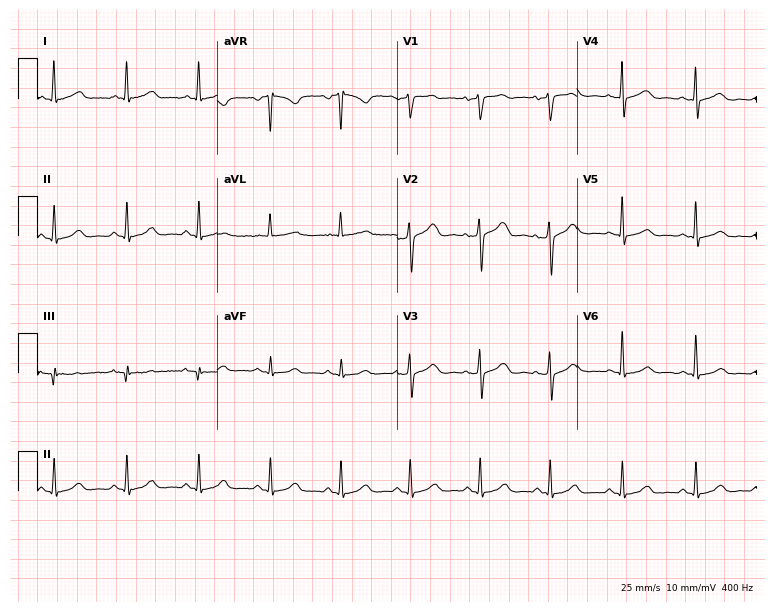
Standard 12-lead ECG recorded from a 52-year-old female patient. None of these six findings is recorded: first-degree AV block, right bundle branch block (RBBB), left bundle branch block (LBBB), sinus bradycardia, atrial fibrillation (AF), sinus tachycardia.